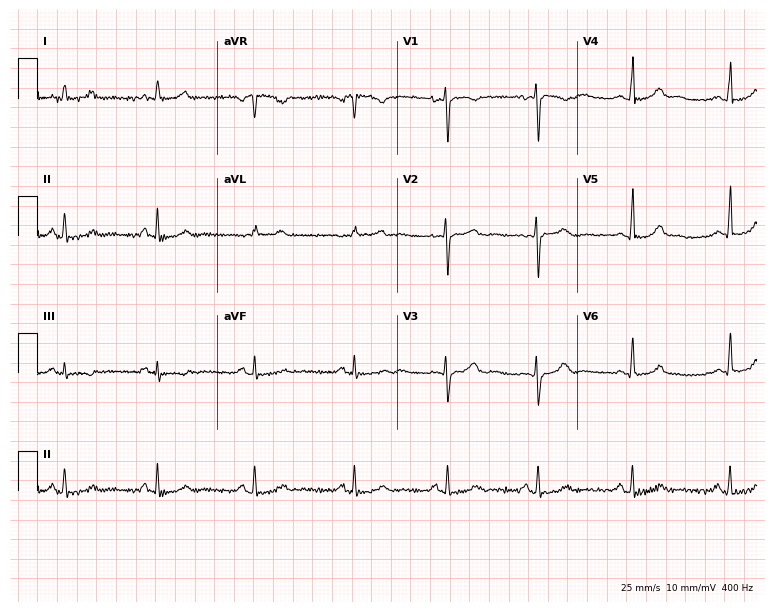
ECG — a 27-year-old woman. Labelled as a normal ECG.